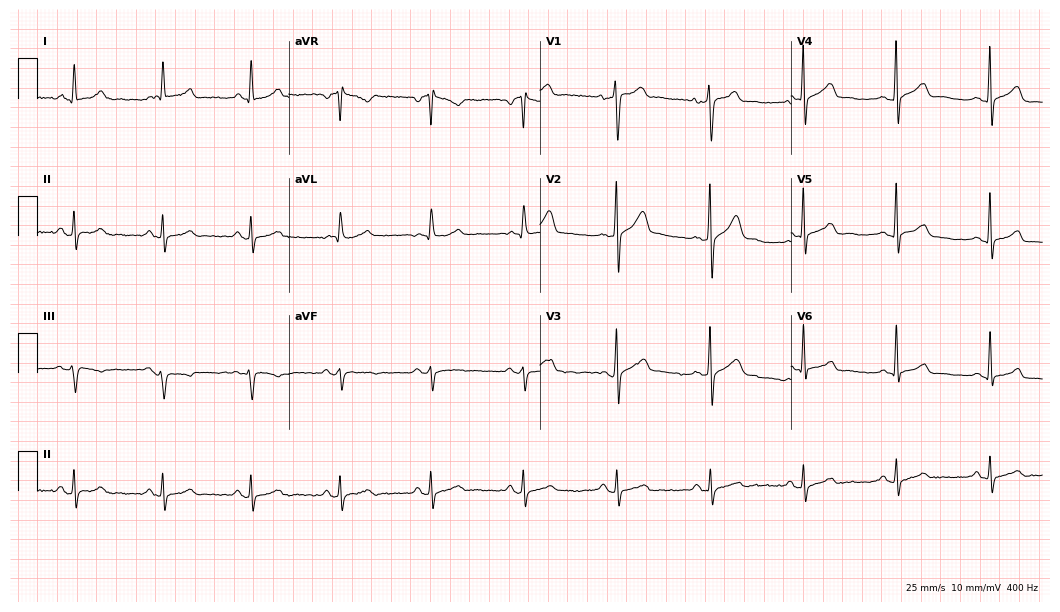
12-lead ECG from a 41-year-old male patient. Labelled as a normal ECG.